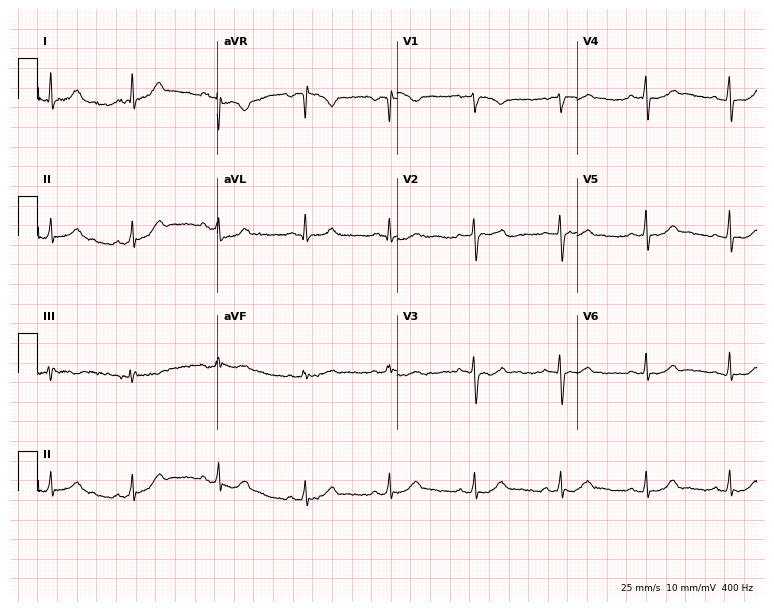
Electrocardiogram (7.3-second recording at 400 Hz), a female patient, 38 years old. Overall reading on record: normal ECG.